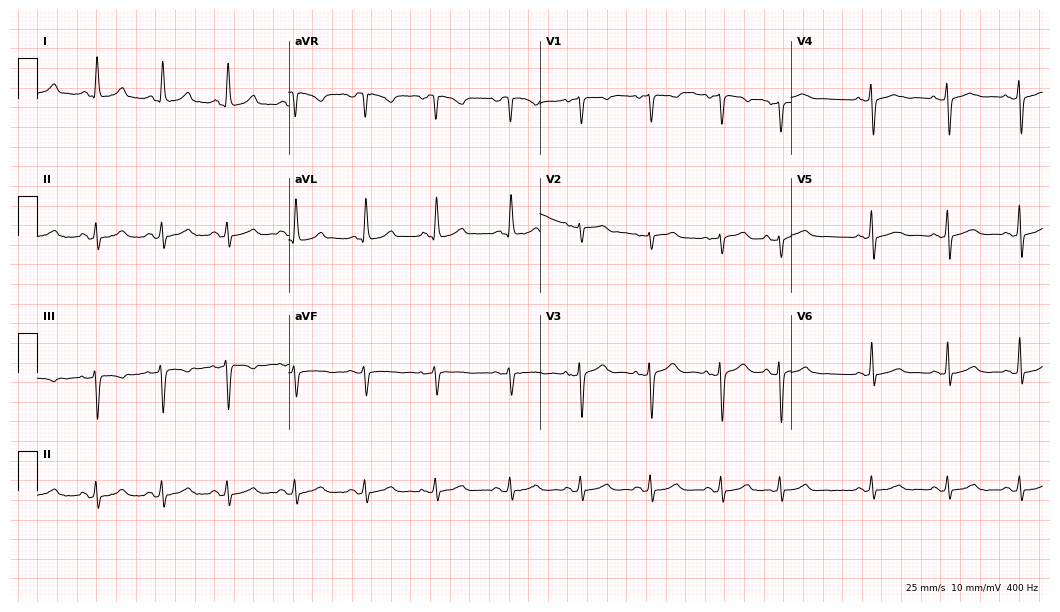
12-lead ECG from a 44-year-old female patient. Recorded interpretation: within normal limits.